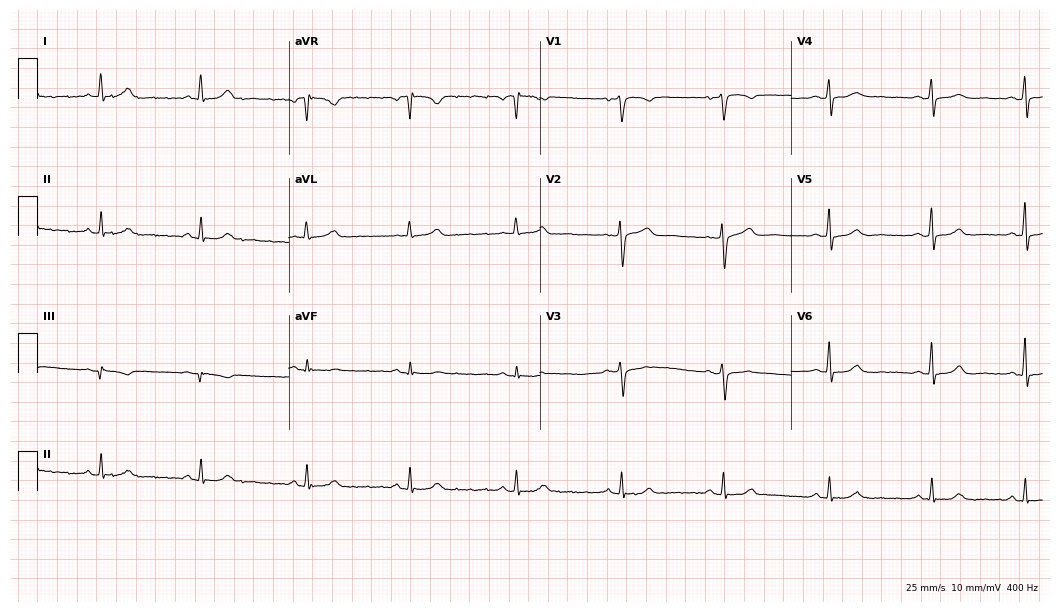
Resting 12-lead electrocardiogram. Patient: a female, 59 years old. Read as a normal ECG.